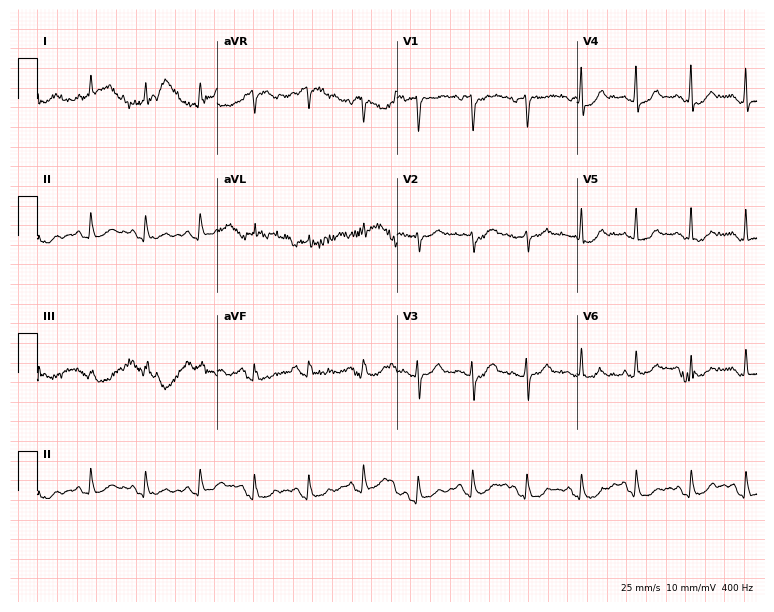
Standard 12-lead ECG recorded from a 68-year-old female patient. The tracing shows sinus tachycardia (a sinus rate of 100 beats per minute or more).